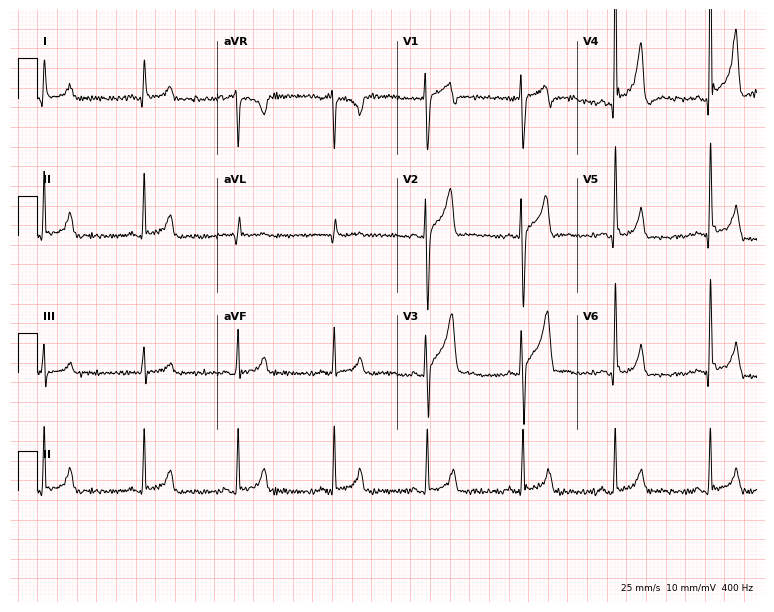
ECG (7.3-second recording at 400 Hz) — a 52-year-old male patient. Screened for six findings — first-degree AV block, right bundle branch block (RBBB), left bundle branch block (LBBB), sinus bradycardia, atrial fibrillation (AF), sinus tachycardia — none is recorded. Only these six findings were labelled.